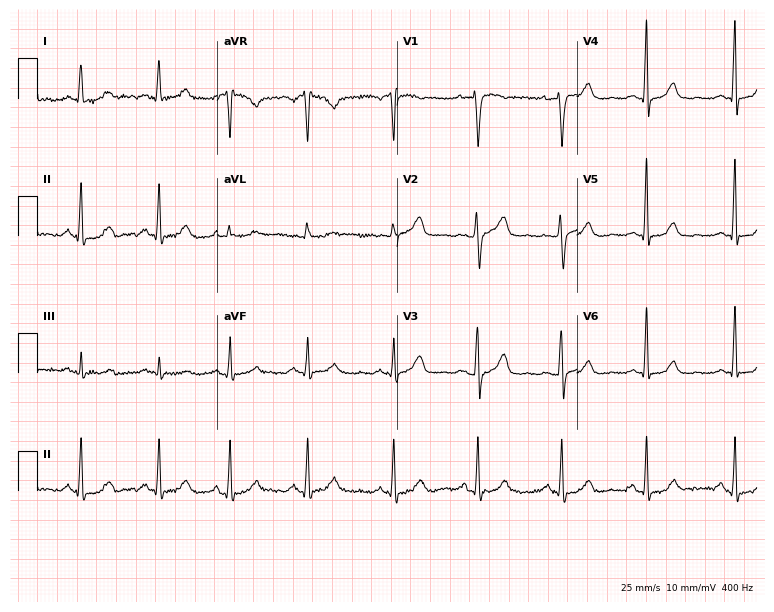
Resting 12-lead electrocardiogram (7.3-second recording at 400 Hz). Patient: a 63-year-old female. None of these six findings is recorded: first-degree AV block, right bundle branch block, left bundle branch block, sinus bradycardia, atrial fibrillation, sinus tachycardia.